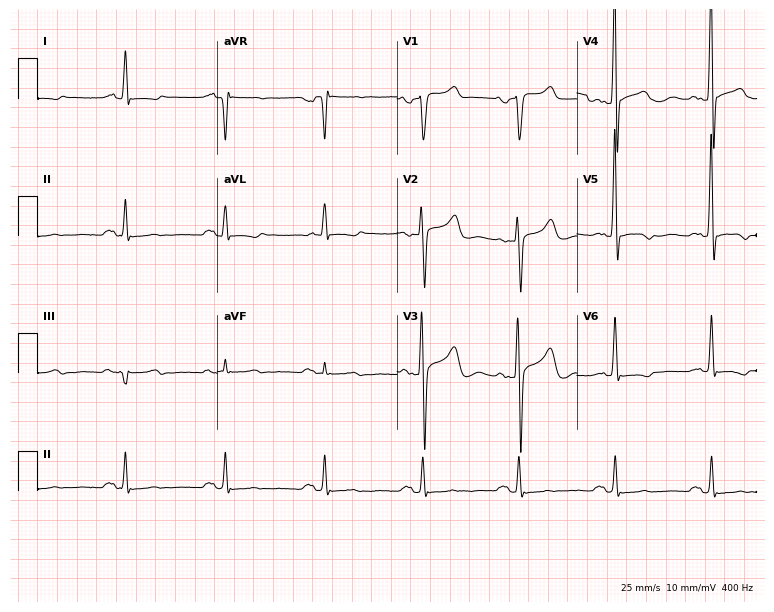
12-lead ECG from a male, 62 years old. Screened for six findings — first-degree AV block, right bundle branch block, left bundle branch block, sinus bradycardia, atrial fibrillation, sinus tachycardia — none is recorded.